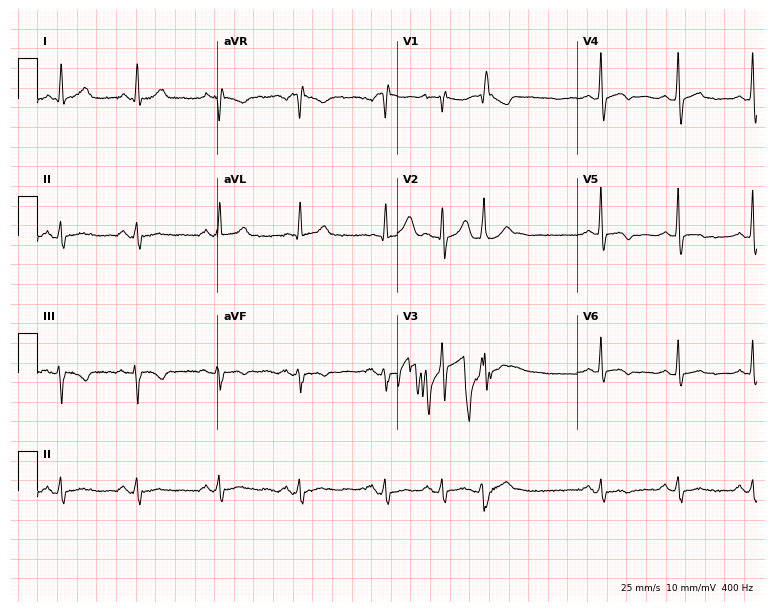
12-lead ECG (7.3-second recording at 400 Hz) from a male, 71 years old. Labelled as a normal ECG.